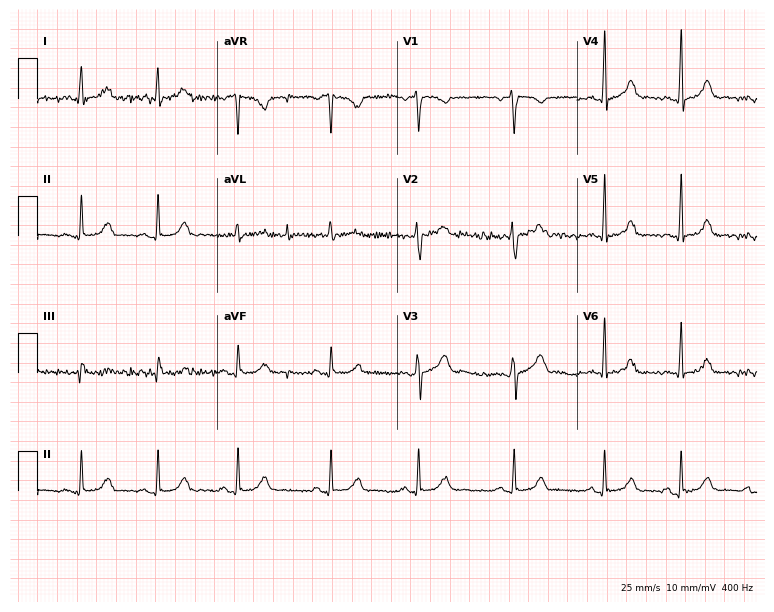
ECG (7.3-second recording at 400 Hz) — a 32-year-old female patient. Labelled as a normal ECG.